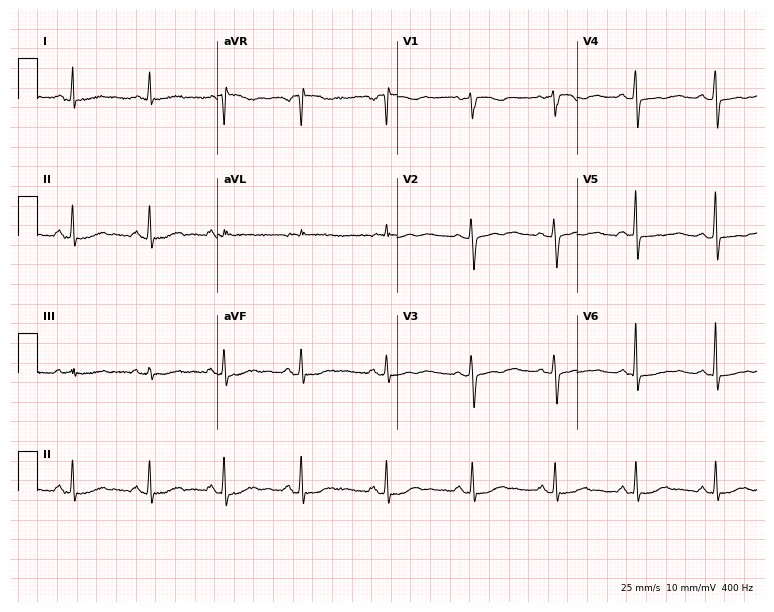
12-lead ECG from a 50-year-old woman. No first-degree AV block, right bundle branch block (RBBB), left bundle branch block (LBBB), sinus bradycardia, atrial fibrillation (AF) or sinus tachycardia recorded for this tracing.